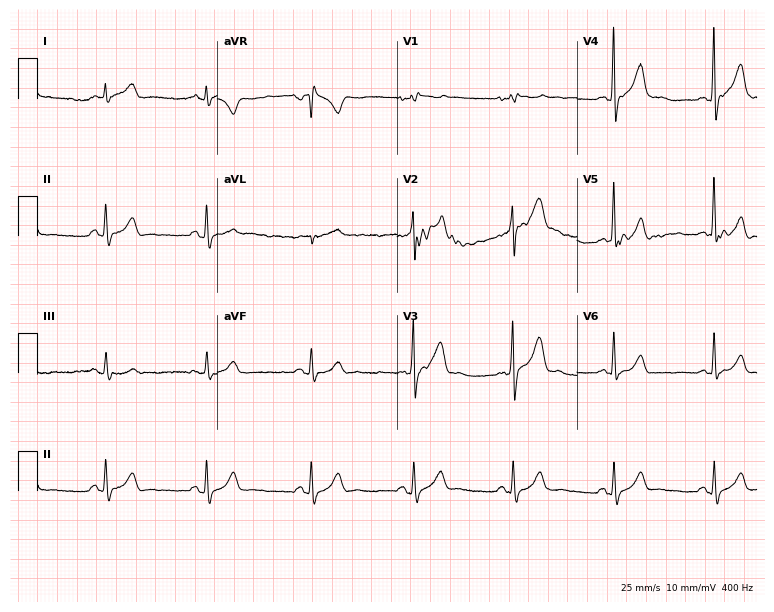
Standard 12-lead ECG recorded from a 45-year-old male. None of these six findings is recorded: first-degree AV block, right bundle branch block, left bundle branch block, sinus bradycardia, atrial fibrillation, sinus tachycardia.